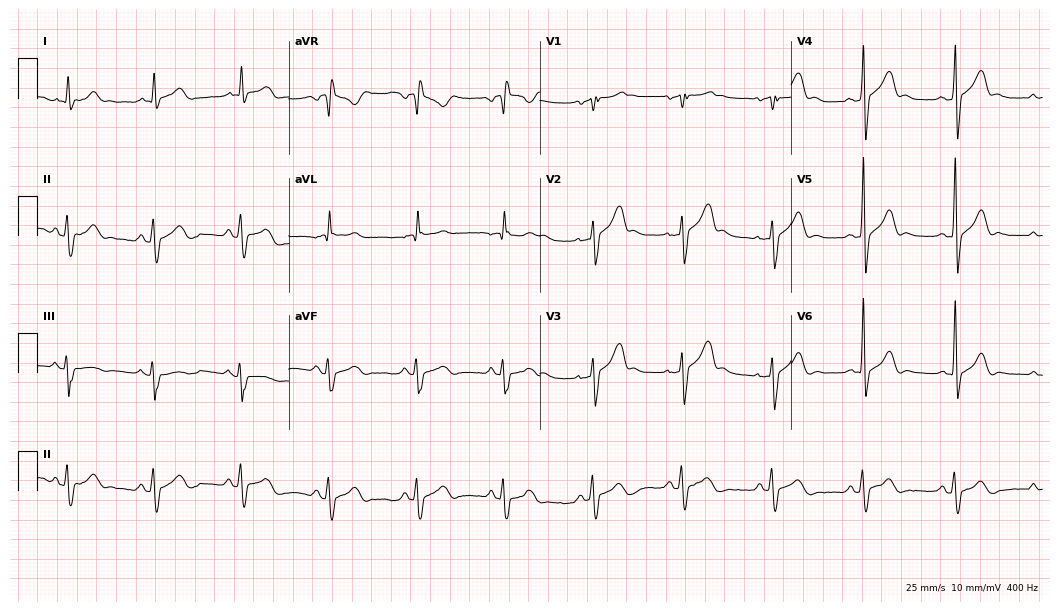
Electrocardiogram, a 62-year-old male. Of the six screened findings (first-degree AV block, right bundle branch block, left bundle branch block, sinus bradycardia, atrial fibrillation, sinus tachycardia), none is recorded. Only these six findings were labelled.